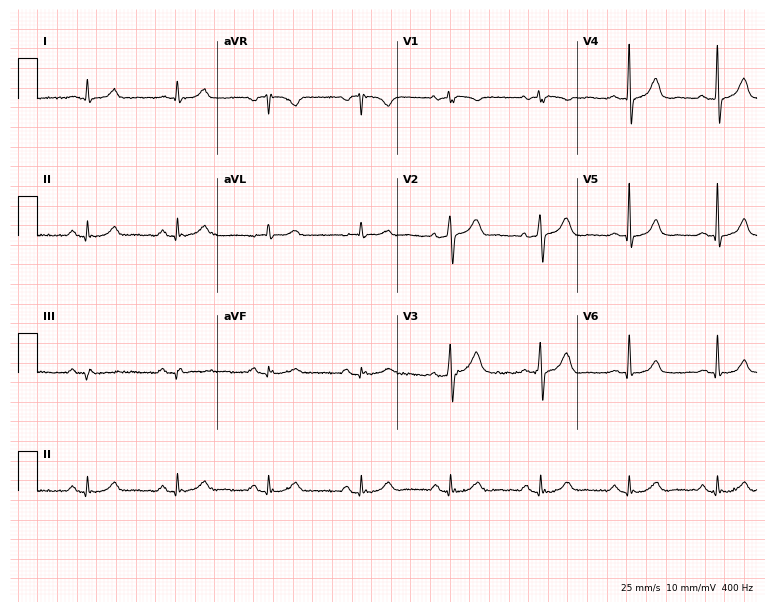
Resting 12-lead electrocardiogram (7.3-second recording at 400 Hz). Patient: a male, 67 years old. Read as a normal ECG.